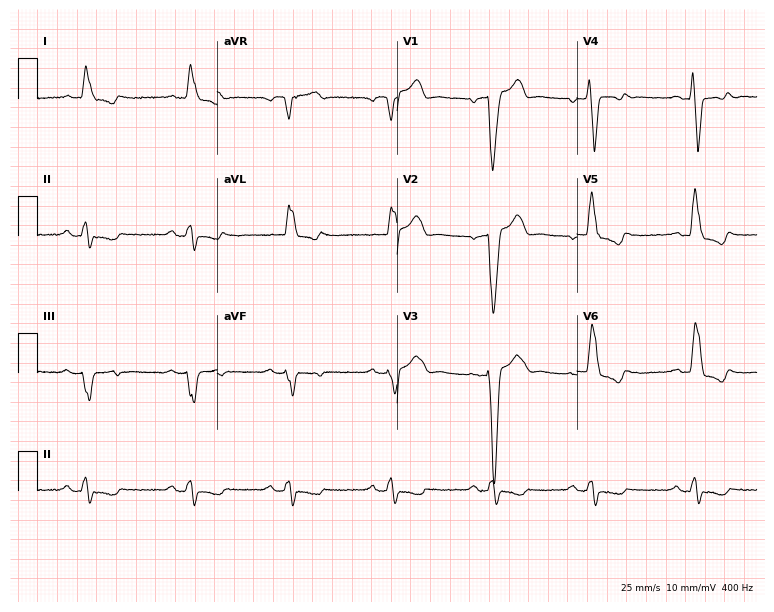
Standard 12-lead ECG recorded from an 83-year-old male. None of these six findings is recorded: first-degree AV block, right bundle branch block, left bundle branch block, sinus bradycardia, atrial fibrillation, sinus tachycardia. Only these six findings were labelled.